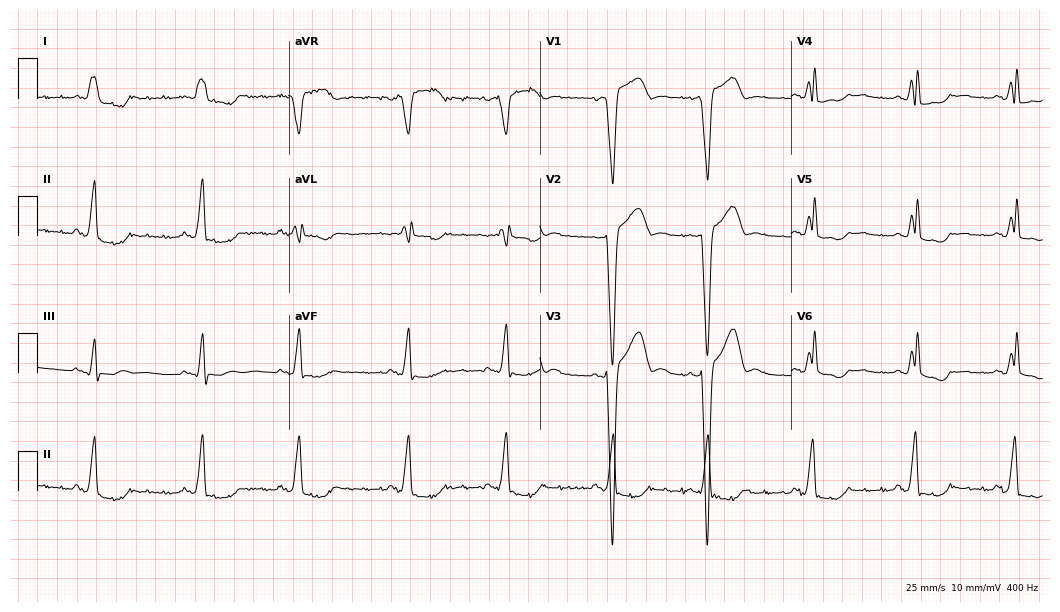
12-lead ECG from a man, 72 years old. Shows left bundle branch block.